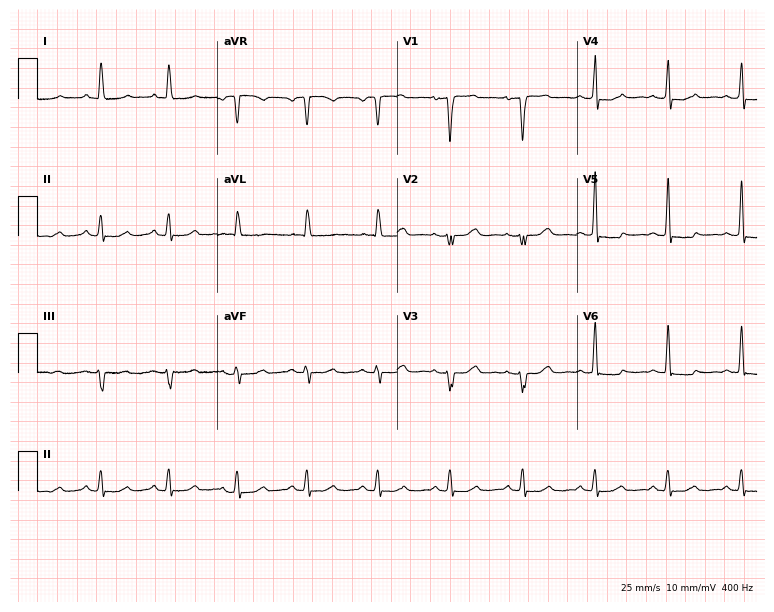
ECG (7.3-second recording at 400 Hz) — a 60-year-old woman. Labelled as a normal ECG.